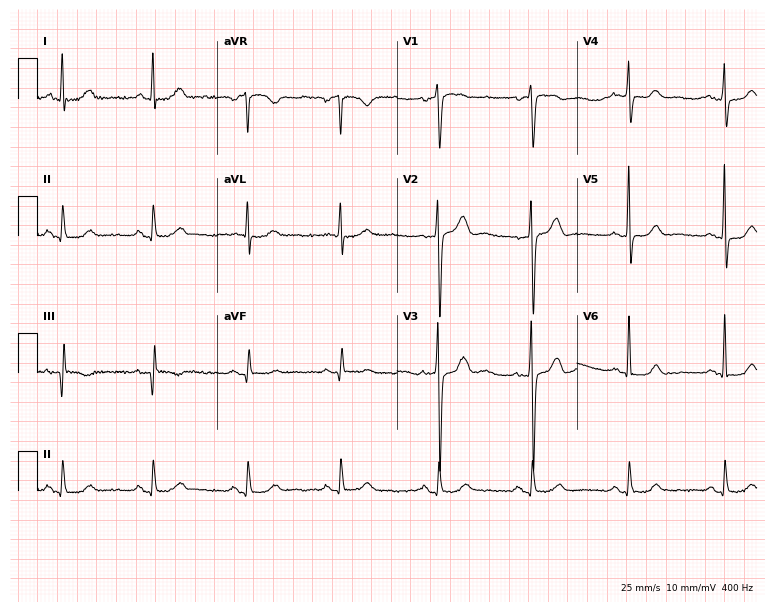
Resting 12-lead electrocardiogram. Patient: a male, 65 years old. None of these six findings is recorded: first-degree AV block, right bundle branch block, left bundle branch block, sinus bradycardia, atrial fibrillation, sinus tachycardia. Other findings, if any, are not listed.